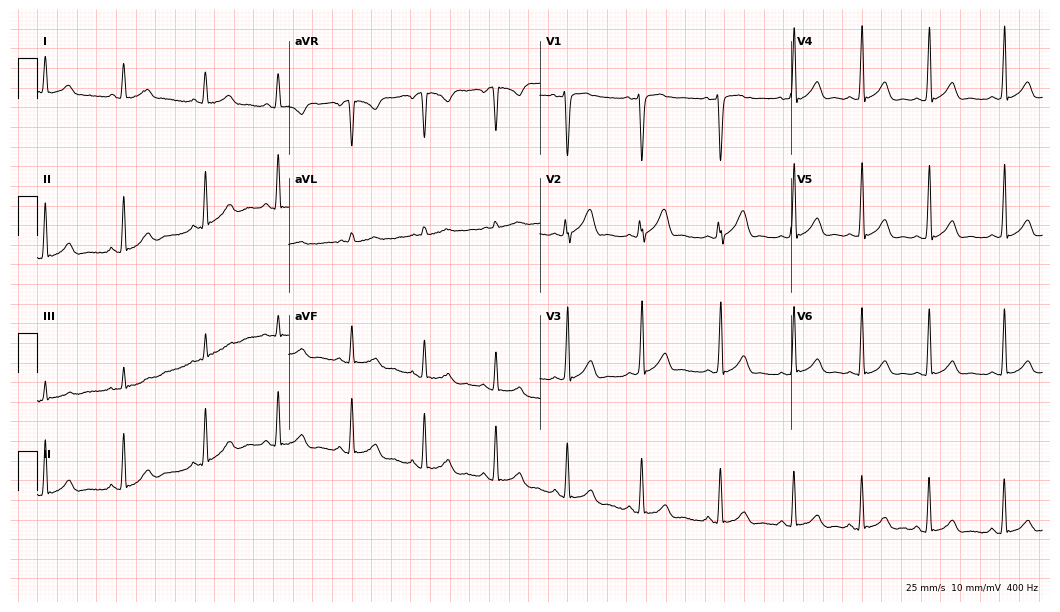
Standard 12-lead ECG recorded from a 19-year-old male patient. Read as a normal ECG.